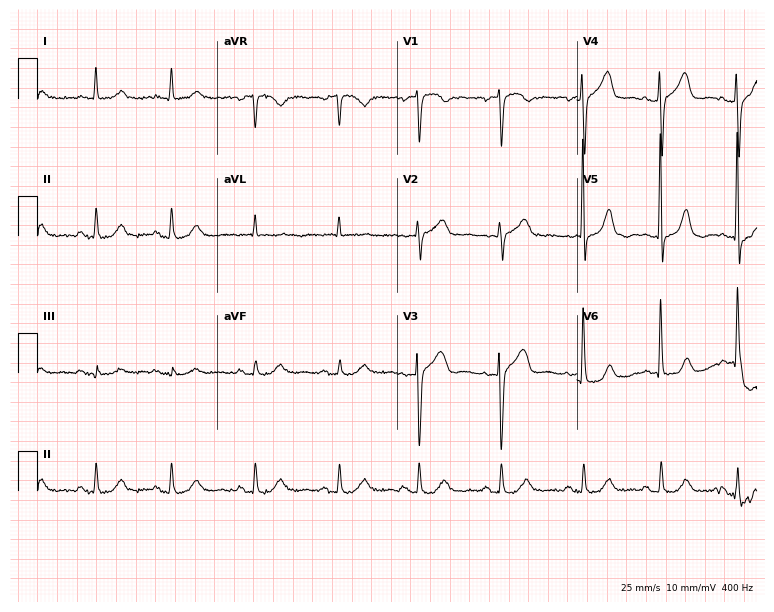
Standard 12-lead ECG recorded from a female, 84 years old (7.3-second recording at 400 Hz). Read as a normal ECG.